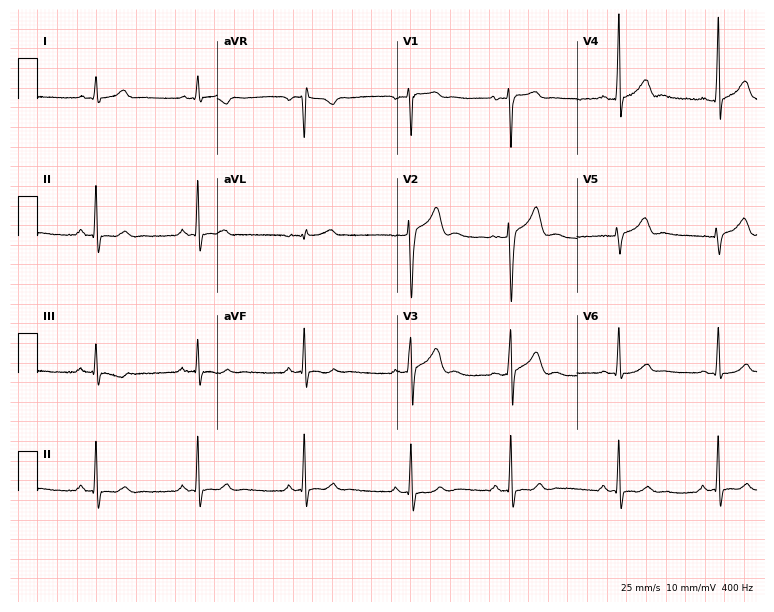
12-lead ECG from a 23-year-old man. Screened for six findings — first-degree AV block, right bundle branch block (RBBB), left bundle branch block (LBBB), sinus bradycardia, atrial fibrillation (AF), sinus tachycardia — none is recorded. Only these six findings were labelled.